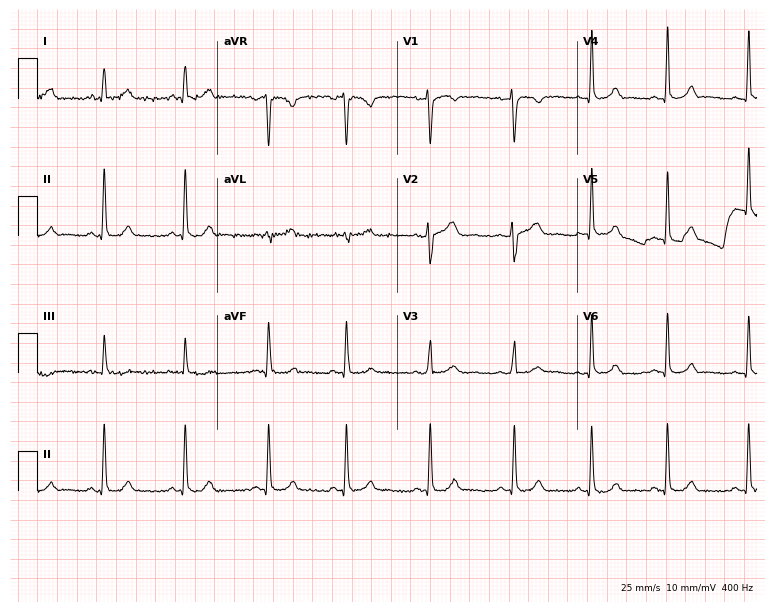
ECG — a 33-year-old woman. Labelled as a normal ECG.